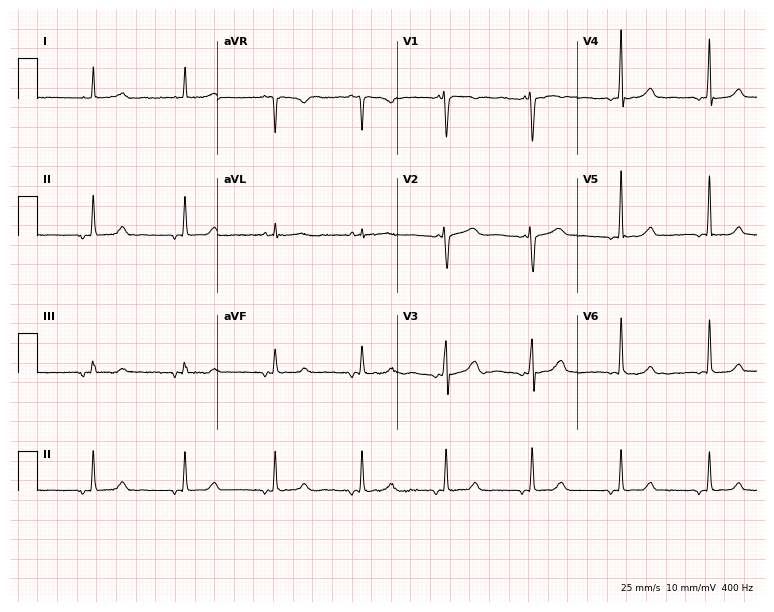
12-lead ECG from a female, 48 years old. No first-degree AV block, right bundle branch block, left bundle branch block, sinus bradycardia, atrial fibrillation or sinus tachycardia recorded for this tracing. Other findings, if any, are not listed.